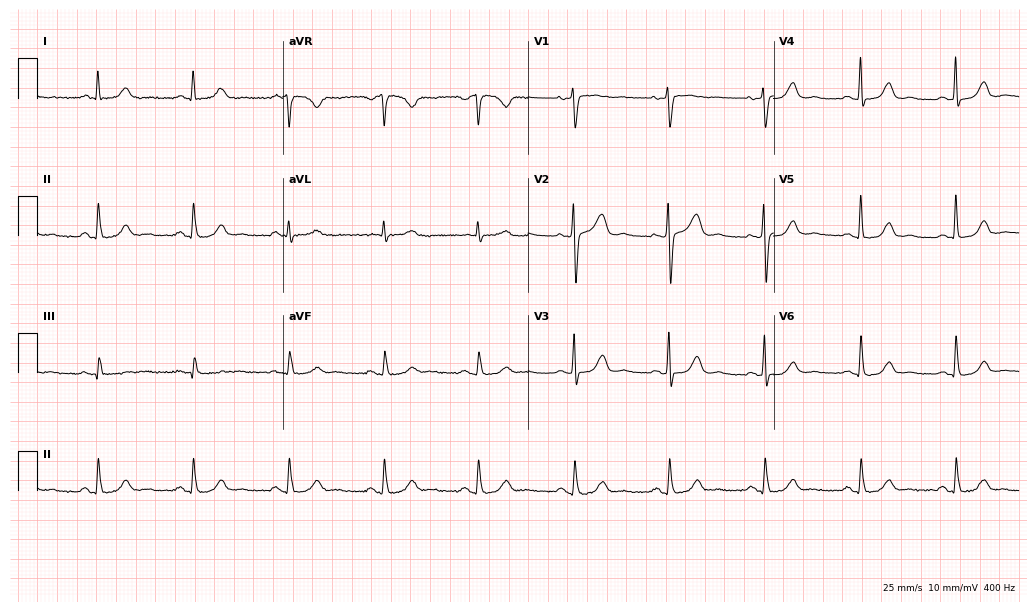
ECG — a 57-year-old female. Screened for six findings — first-degree AV block, right bundle branch block, left bundle branch block, sinus bradycardia, atrial fibrillation, sinus tachycardia — none is recorded.